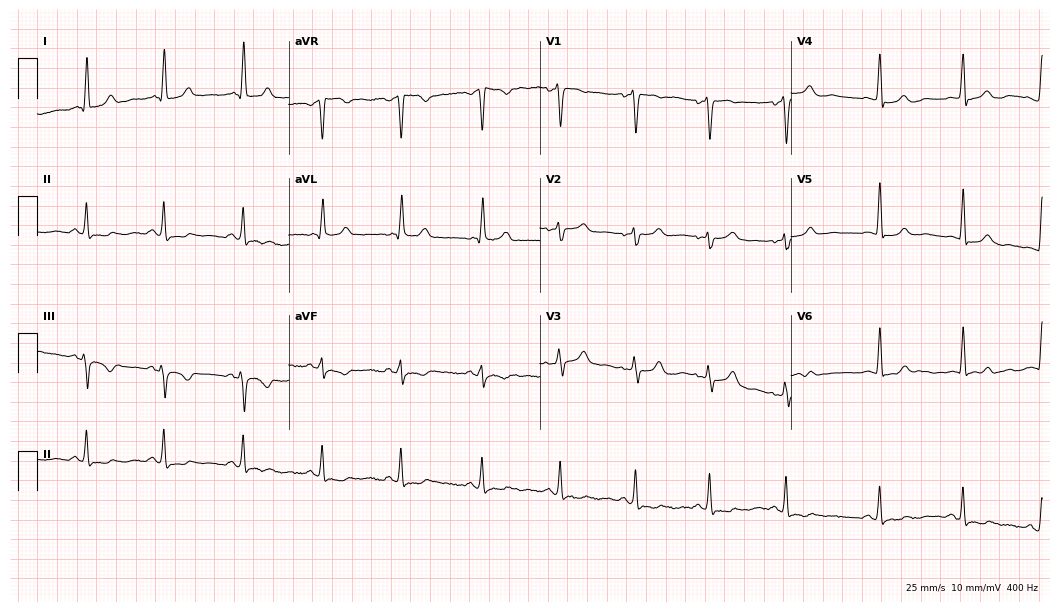
12-lead ECG from a 51-year-old female (10.2-second recording at 400 Hz). No first-degree AV block, right bundle branch block, left bundle branch block, sinus bradycardia, atrial fibrillation or sinus tachycardia recorded for this tracing. Other findings, if any, are not listed.